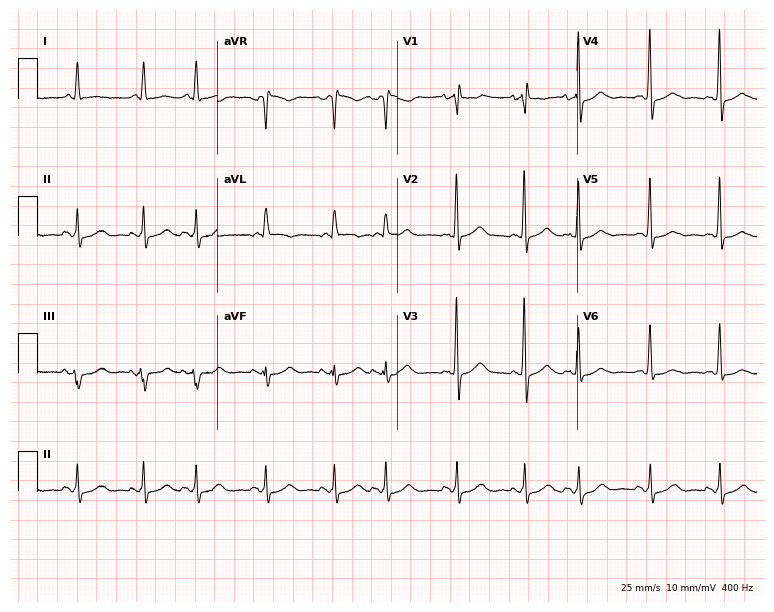
Standard 12-lead ECG recorded from a female, 79 years old (7.3-second recording at 400 Hz). None of these six findings is recorded: first-degree AV block, right bundle branch block, left bundle branch block, sinus bradycardia, atrial fibrillation, sinus tachycardia. Findings outside these six are not listed.